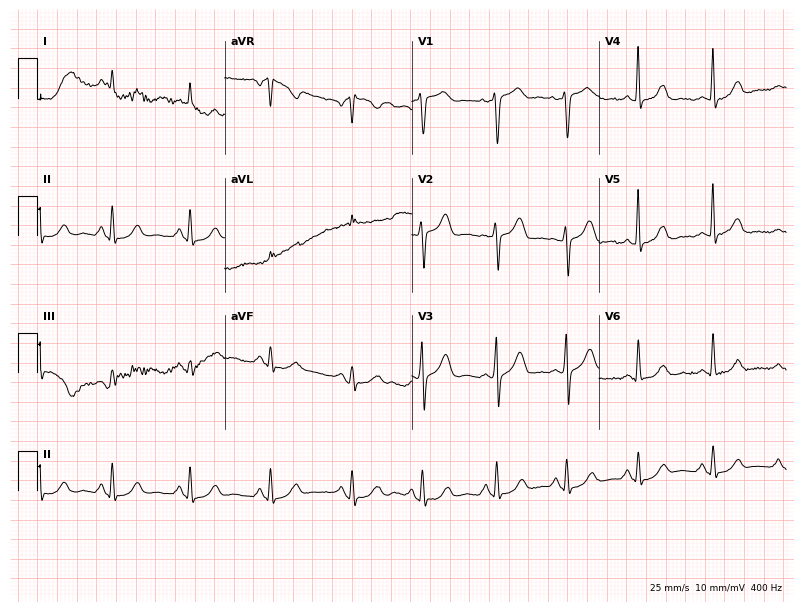
Electrocardiogram, a 68-year-old female. Of the six screened findings (first-degree AV block, right bundle branch block, left bundle branch block, sinus bradycardia, atrial fibrillation, sinus tachycardia), none is recorded.